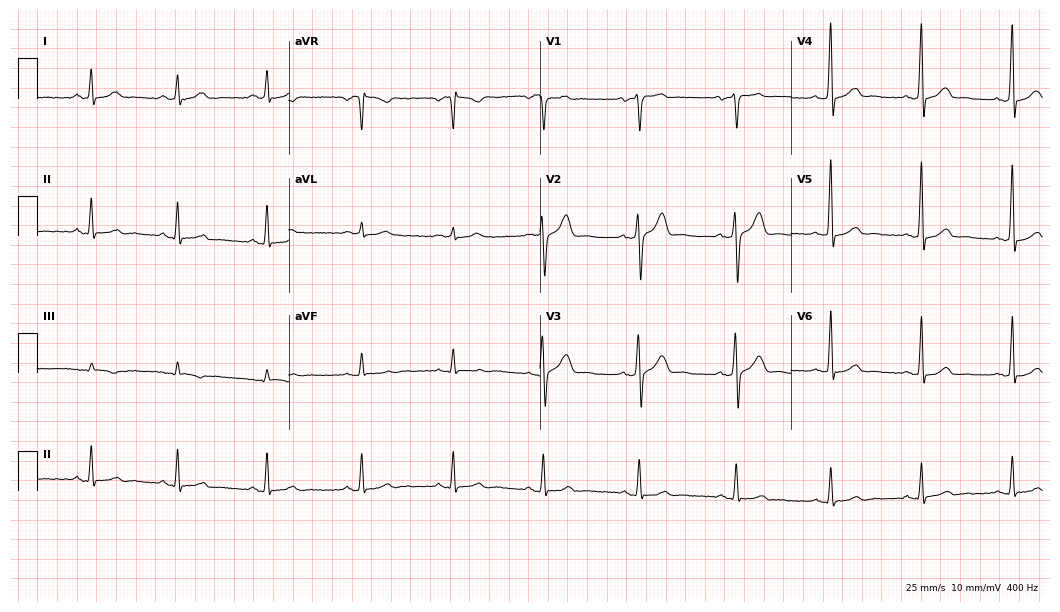
ECG — a 75-year-old male. Labelled as a normal ECG.